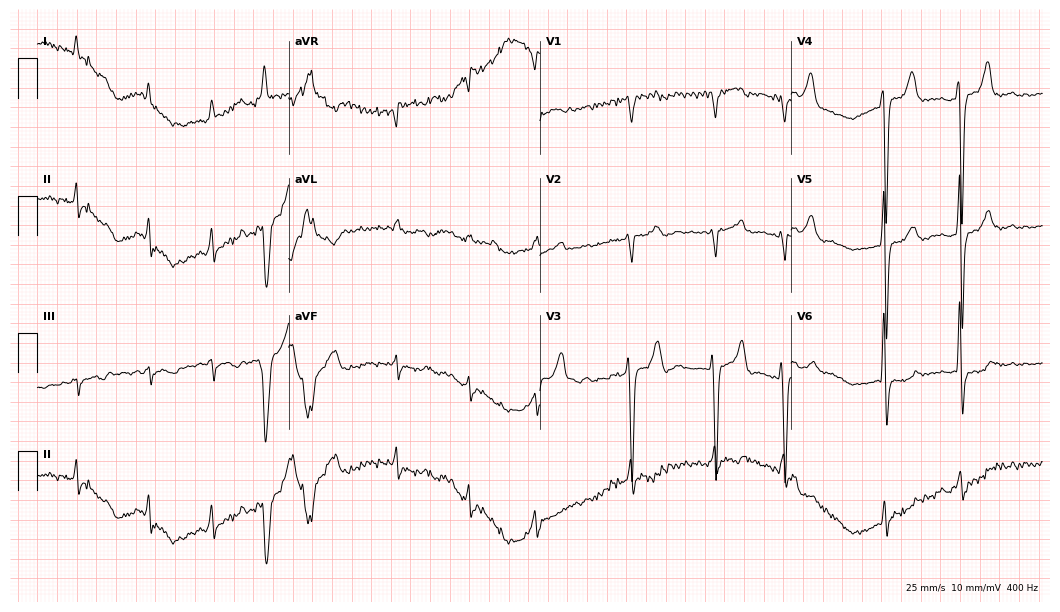
12-lead ECG from a male, 76 years old. Findings include atrial fibrillation.